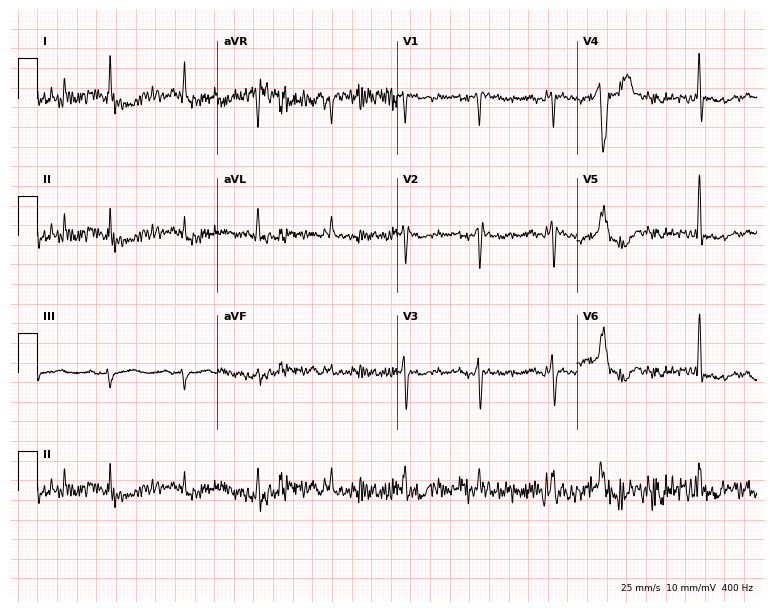
Standard 12-lead ECG recorded from an 80-year-old female (7.3-second recording at 400 Hz). None of these six findings is recorded: first-degree AV block, right bundle branch block, left bundle branch block, sinus bradycardia, atrial fibrillation, sinus tachycardia. Findings outside these six are not listed.